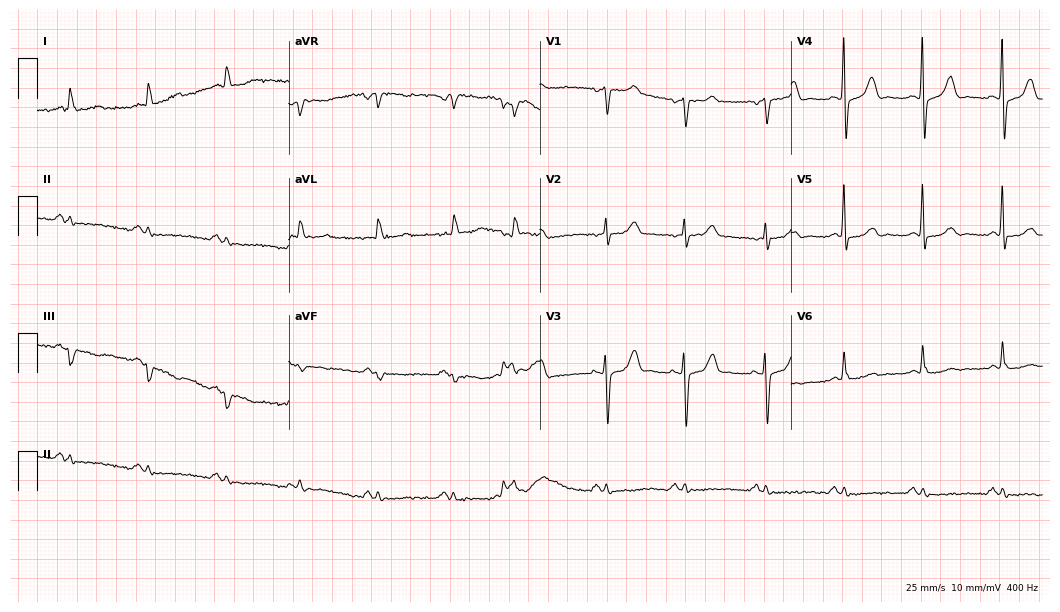
Resting 12-lead electrocardiogram. Patient: a 79-year-old female. None of these six findings is recorded: first-degree AV block, right bundle branch block, left bundle branch block, sinus bradycardia, atrial fibrillation, sinus tachycardia. Findings outside these six are not listed.